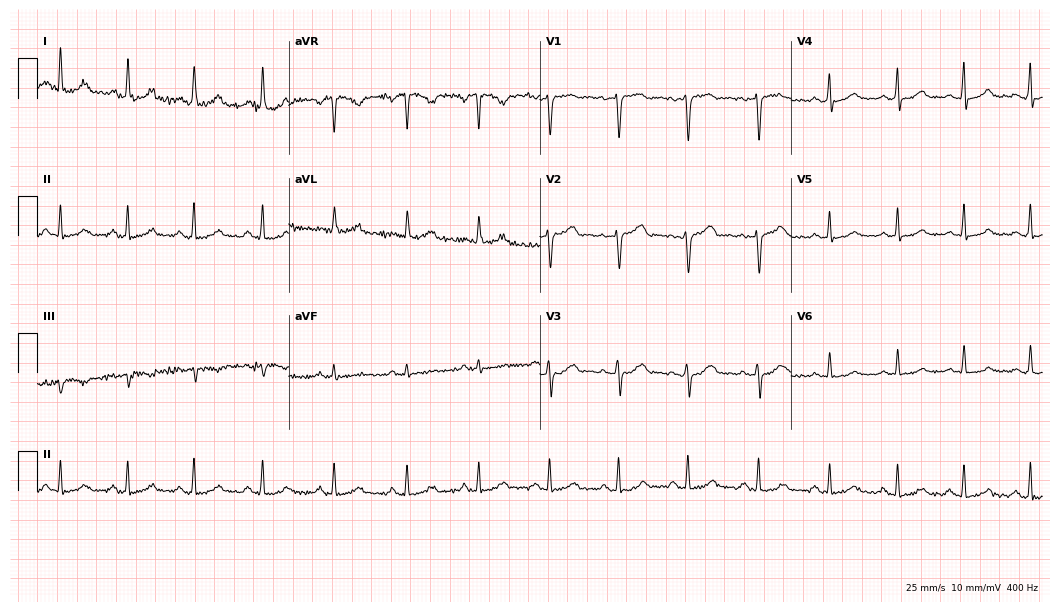
ECG (10.2-second recording at 400 Hz) — a female patient, 50 years old. Labelled as a normal ECG.